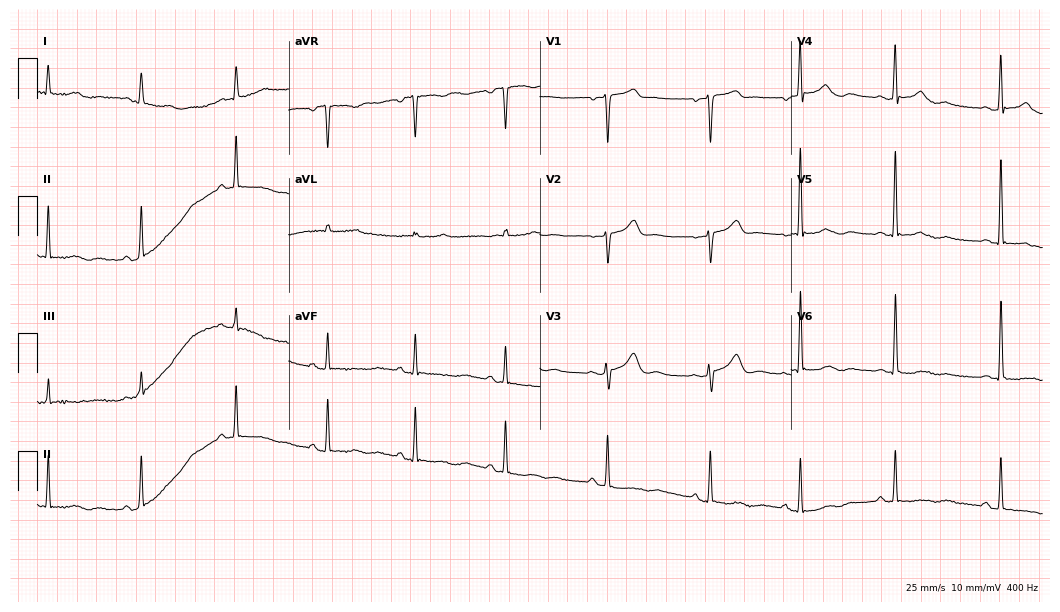
ECG (10.2-second recording at 400 Hz) — a 57-year-old woman. Screened for six findings — first-degree AV block, right bundle branch block, left bundle branch block, sinus bradycardia, atrial fibrillation, sinus tachycardia — none is recorded. Other findings, if any, are not listed.